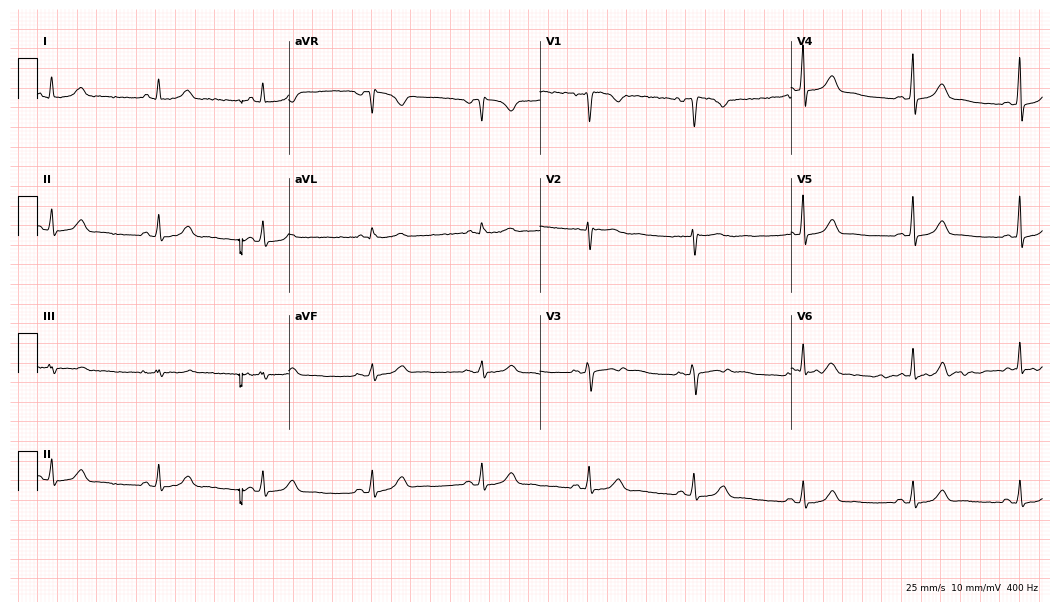
Standard 12-lead ECG recorded from a 45-year-old female patient (10.2-second recording at 400 Hz). Read as a normal ECG.